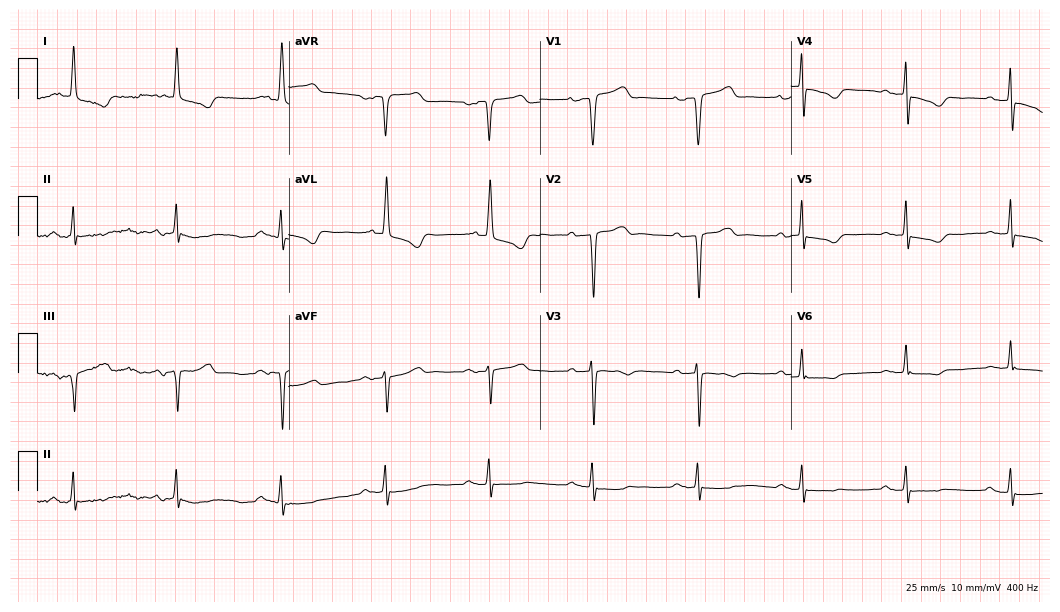
Standard 12-lead ECG recorded from a female patient, 83 years old. The tracing shows first-degree AV block.